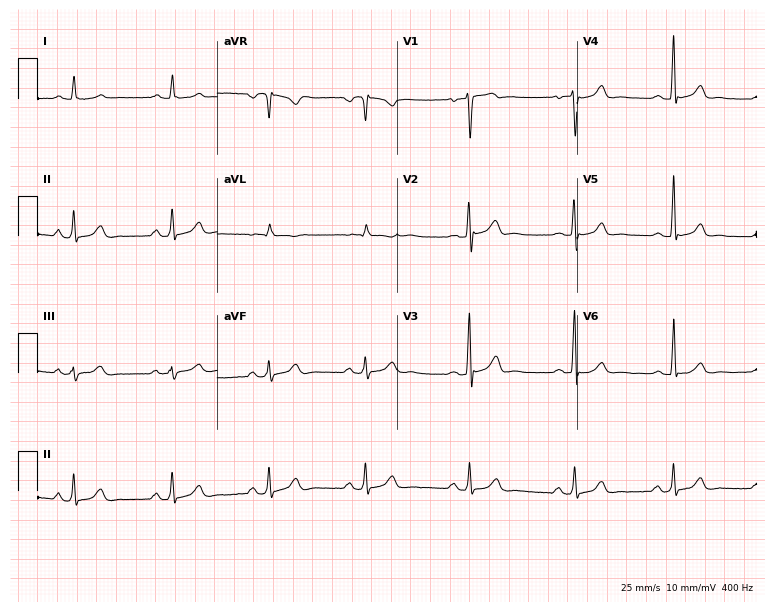
Electrocardiogram, a male patient, 30 years old. Of the six screened findings (first-degree AV block, right bundle branch block, left bundle branch block, sinus bradycardia, atrial fibrillation, sinus tachycardia), none is recorded.